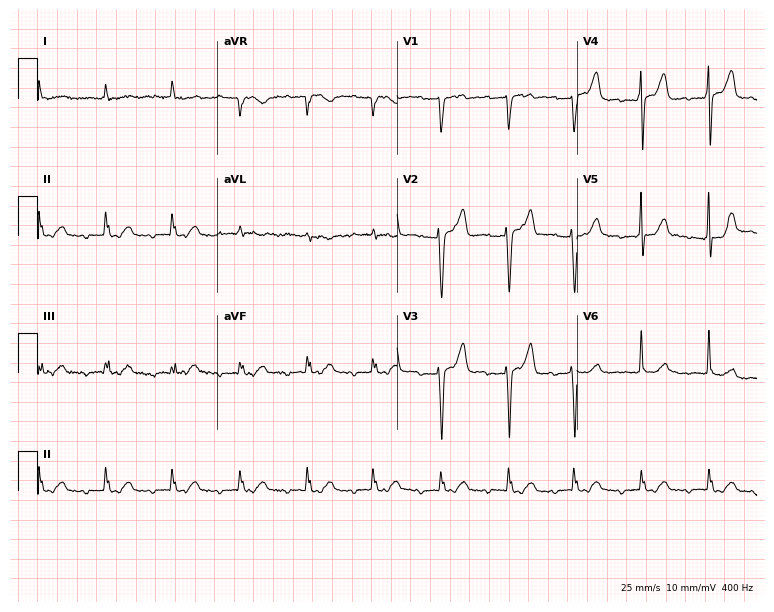
12-lead ECG from an 85-year-old female patient. No first-degree AV block, right bundle branch block (RBBB), left bundle branch block (LBBB), sinus bradycardia, atrial fibrillation (AF) or sinus tachycardia recorded for this tracing. Only these six findings were labelled.